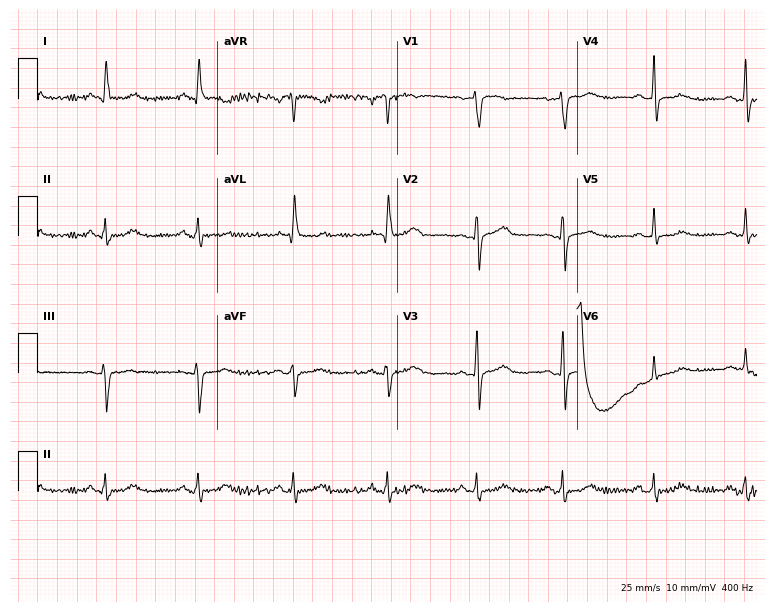
Standard 12-lead ECG recorded from a female, 59 years old. None of these six findings is recorded: first-degree AV block, right bundle branch block (RBBB), left bundle branch block (LBBB), sinus bradycardia, atrial fibrillation (AF), sinus tachycardia. Only these six findings were labelled.